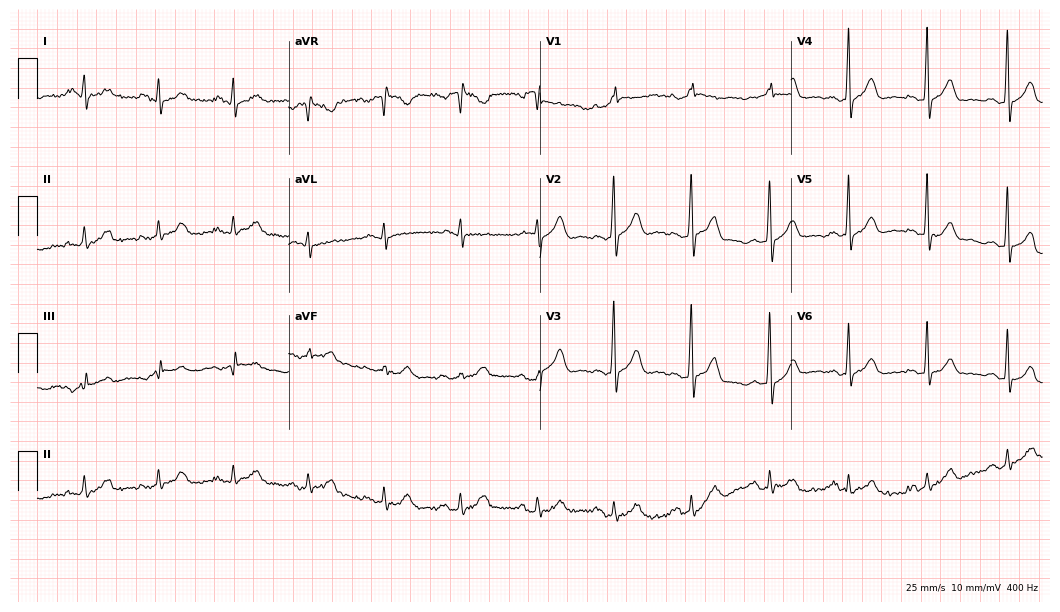
Resting 12-lead electrocardiogram (10.2-second recording at 400 Hz). Patient: a 58-year-old man. Read as a normal ECG.